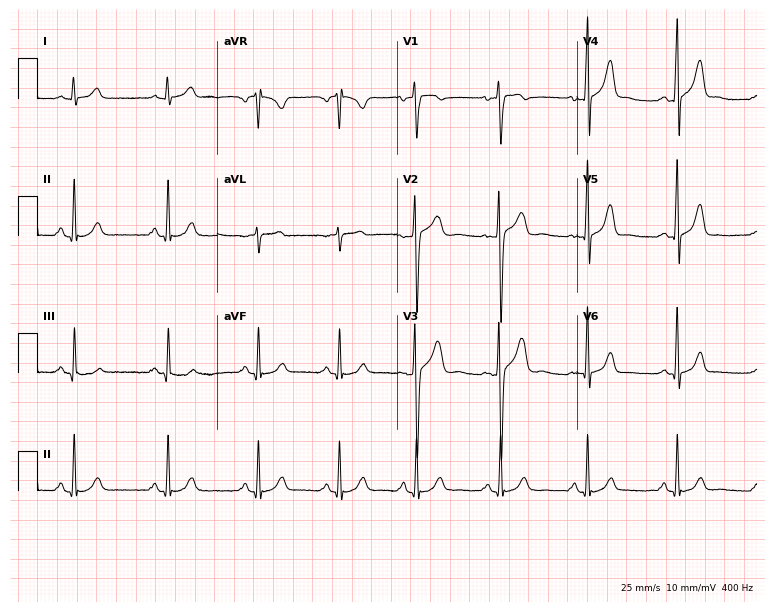
Electrocardiogram (7.3-second recording at 400 Hz), a male patient, 28 years old. Overall reading on record: normal ECG.